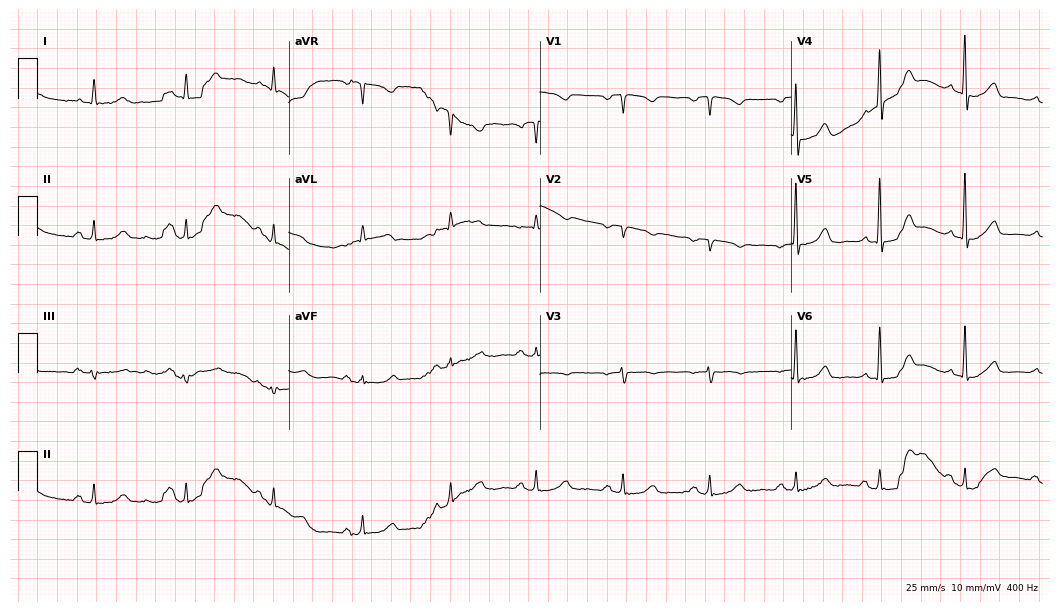
Standard 12-lead ECG recorded from a 77-year-old female patient (10.2-second recording at 400 Hz). Read as a normal ECG.